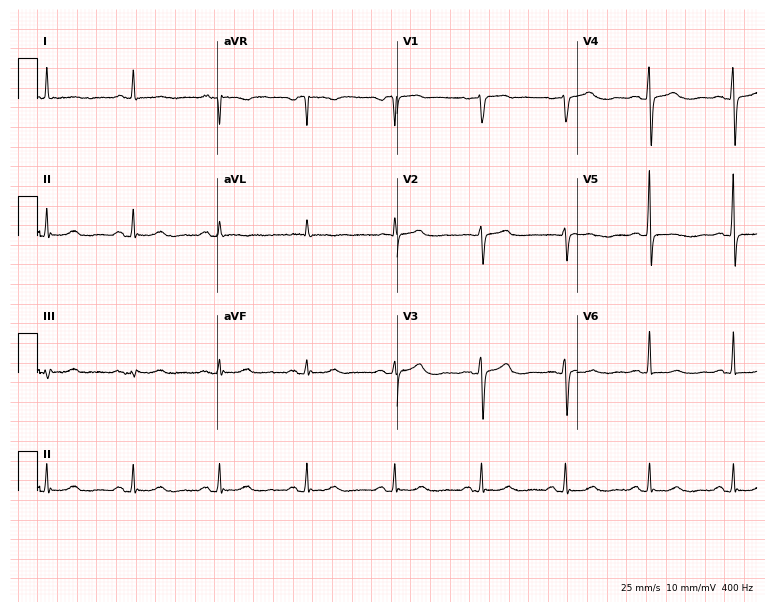
ECG (7.3-second recording at 400 Hz) — a female, 63 years old. Screened for six findings — first-degree AV block, right bundle branch block, left bundle branch block, sinus bradycardia, atrial fibrillation, sinus tachycardia — none is recorded. Only these six findings were labelled.